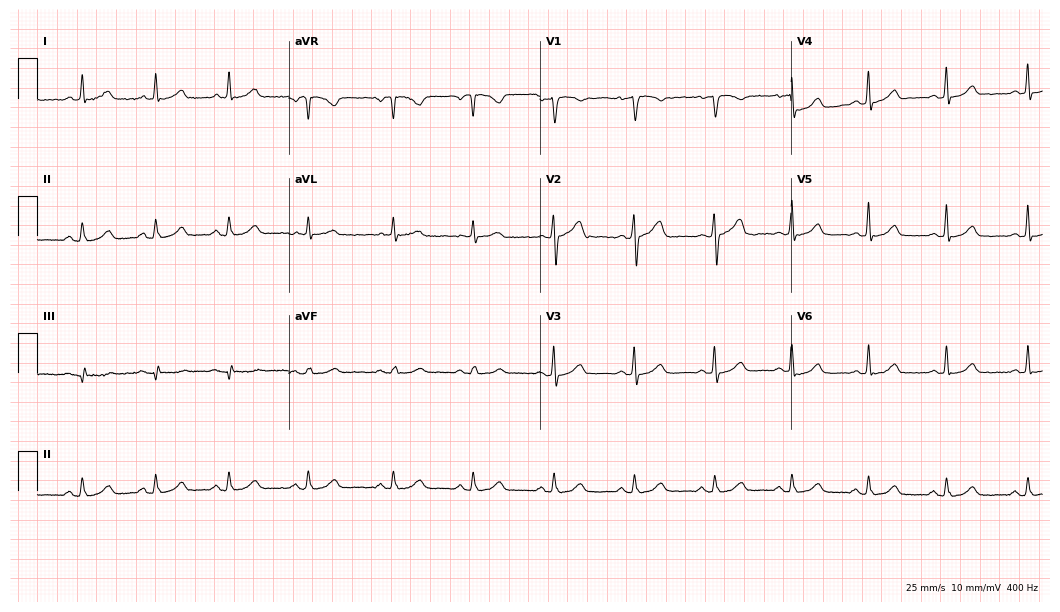
ECG (10.2-second recording at 400 Hz) — a 61-year-old woman. Labelled as a normal ECG.